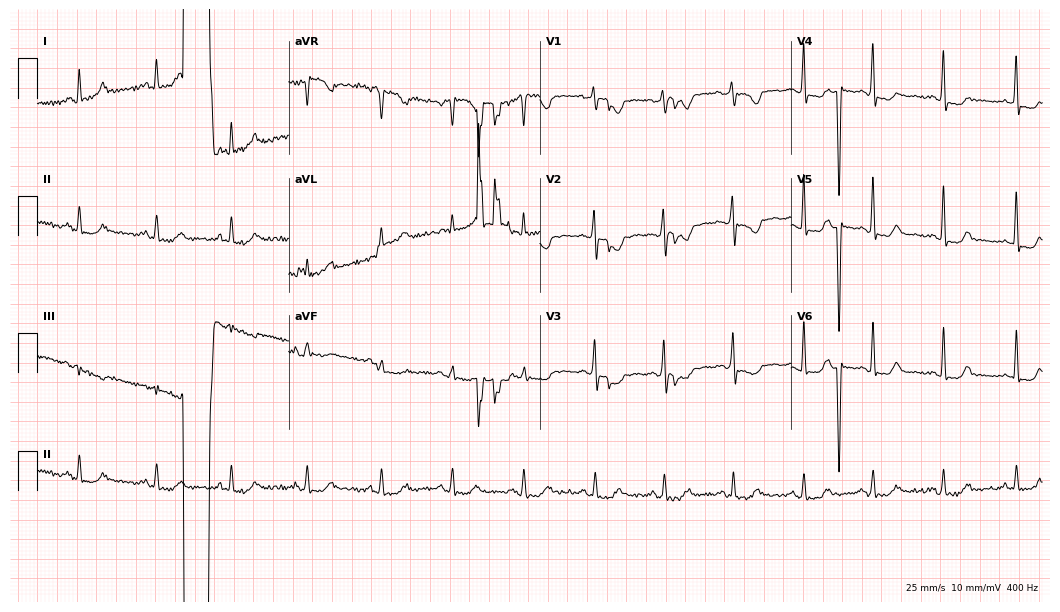
ECG — a 48-year-old woman. Screened for six findings — first-degree AV block, right bundle branch block (RBBB), left bundle branch block (LBBB), sinus bradycardia, atrial fibrillation (AF), sinus tachycardia — none is recorded.